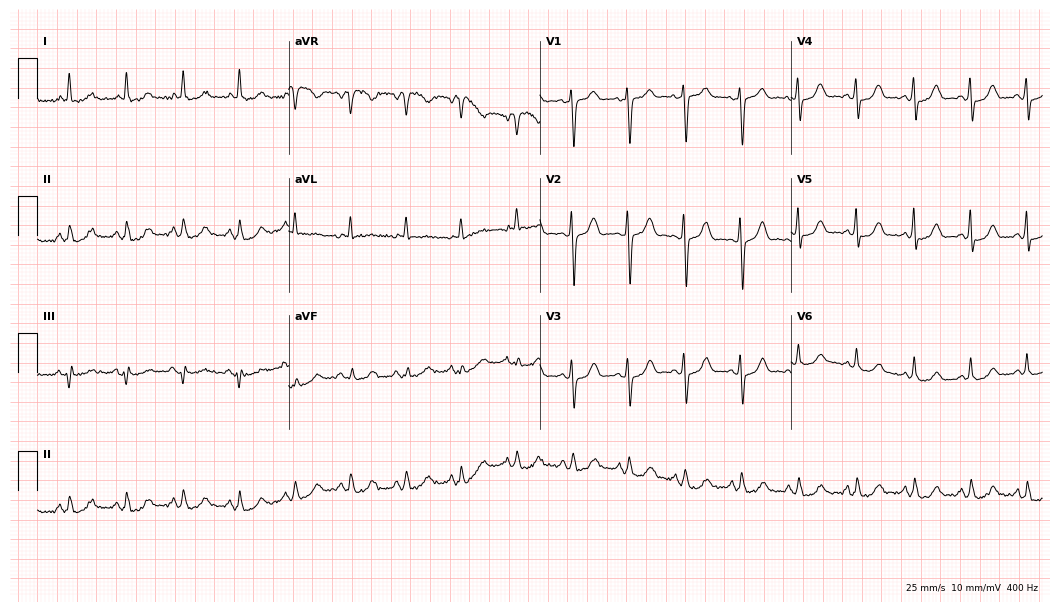
ECG (10.2-second recording at 400 Hz) — a female, 64 years old. Findings include sinus tachycardia (a sinus rate of 100 beats per minute or more).